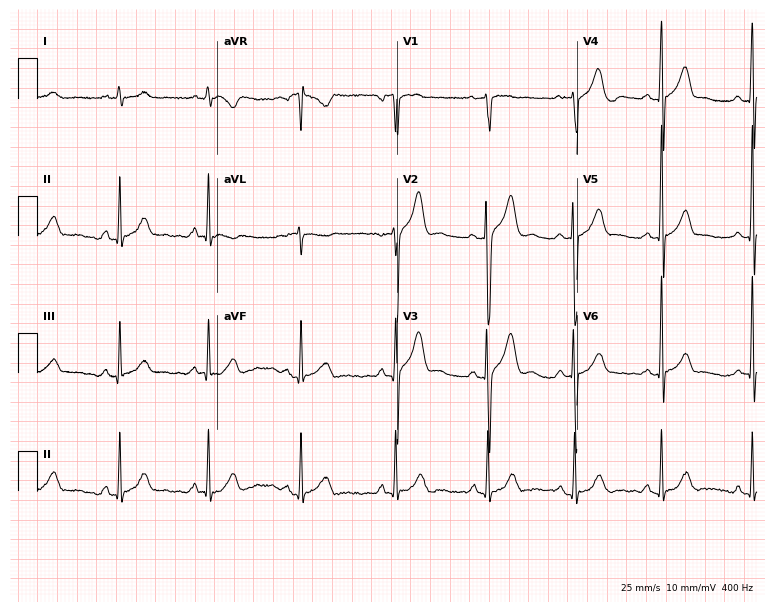
Resting 12-lead electrocardiogram. Patient: a 29-year-old male. Read as a normal ECG.